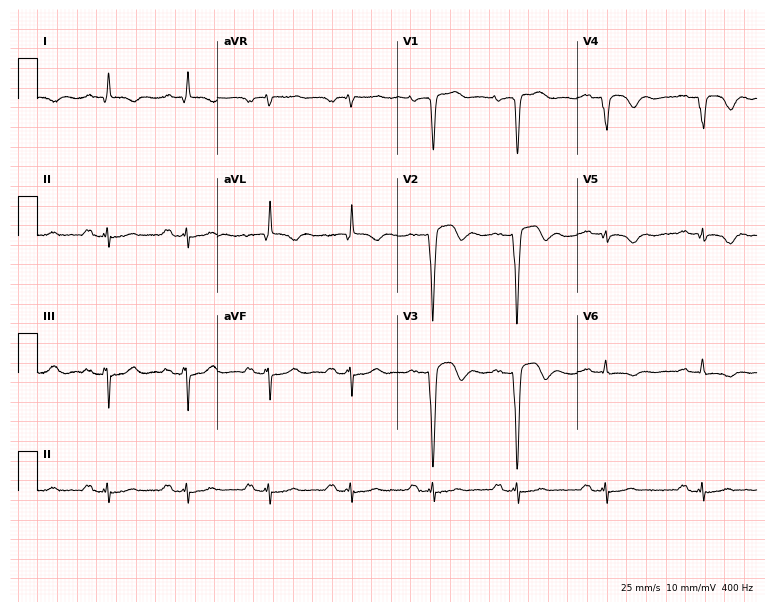
Standard 12-lead ECG recorded from a man, 72 years old. None of these six findings is recorded: first-degree AV block, right bundle branch block, left bundle branch block, sinus bradycardia, atrial fibrillation, sinus tachycardia.